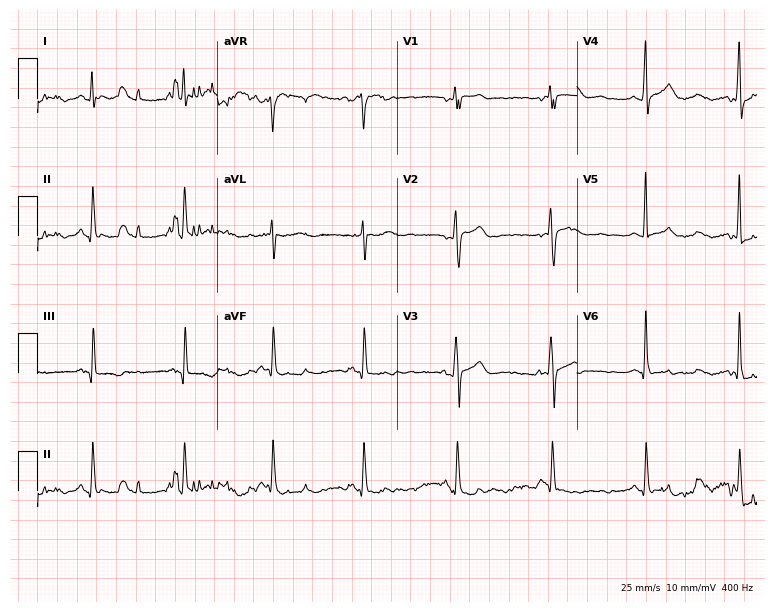
Electrocardiogram, a female patient, 75 years old. Of the six screened findings (first-degree AV block, right bundle branch block (RBBB), left bundle branch block (LBBB), sinus bradycardia, atrial fibrillation (AF), sinus tachycardia), none is recorded. Only these six findings were labelled.